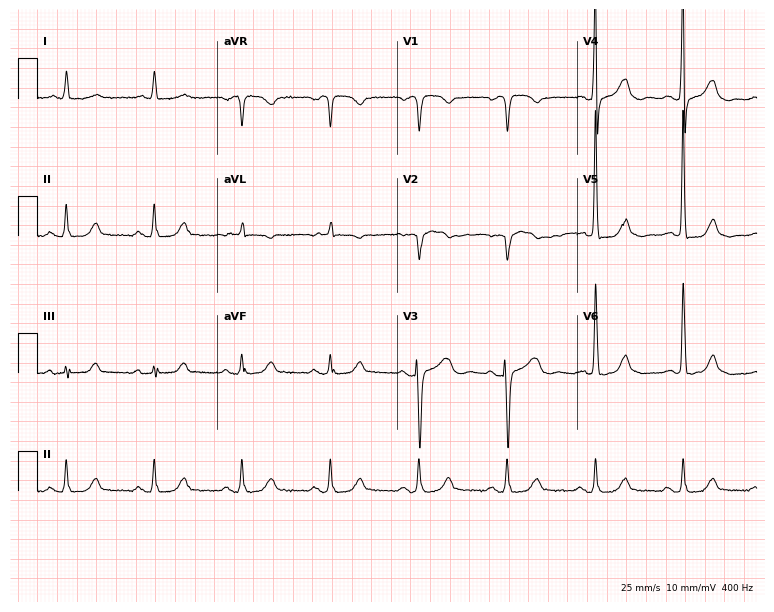
Electrocardiogram, a 79-year-old female. Of the six screened findings (first-degree AV block, right bundle branch block, left bundle branch block, sinus bradycardia, atrial fibrillation, sinus tachycardia), none is recorded.